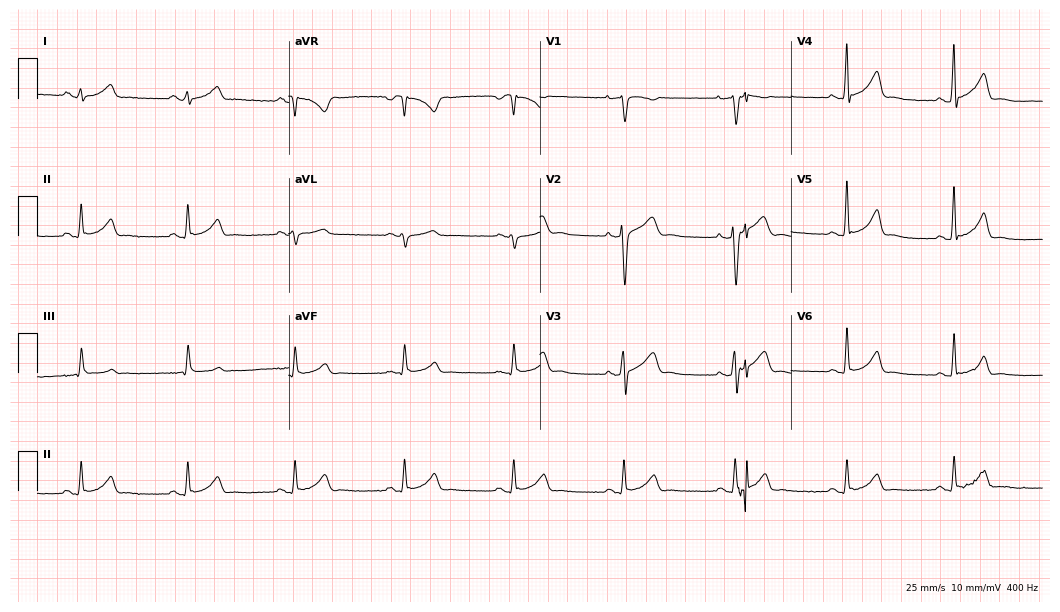
Electrocardiogram (10.2-second recording at 400 Hz), a man, 36 years old. Overall reading on record: normal ECG.